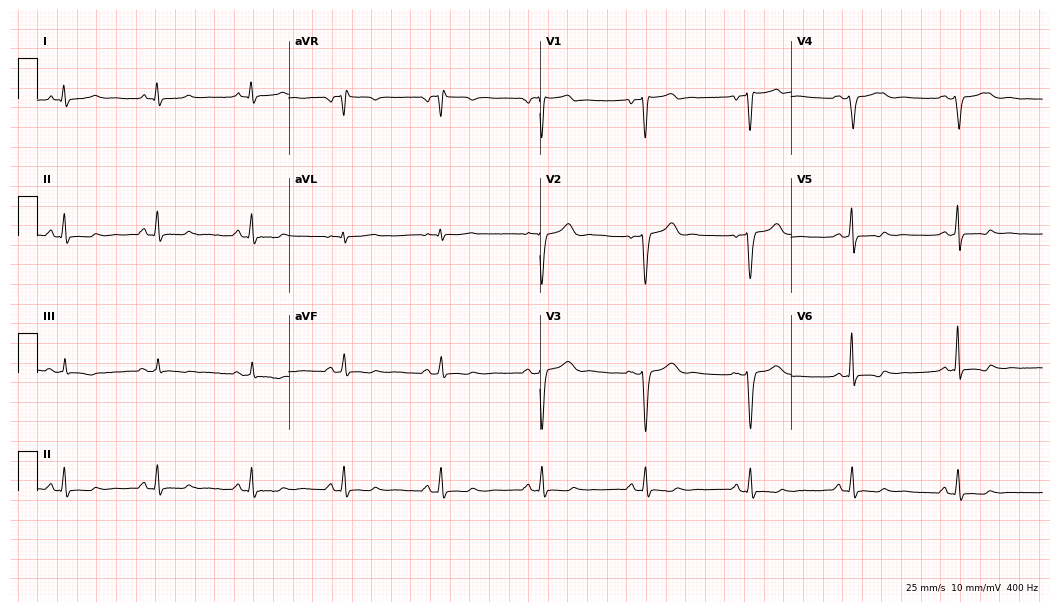
Resting 12-lead electrocardiogram. Patient: a 46-year-old woman. None of these six findings is recorded: first-degree AV block, right bundle branch block, left bundle branch block, sinus bradycardia, atrial fibrillation, sinus tachycardia.